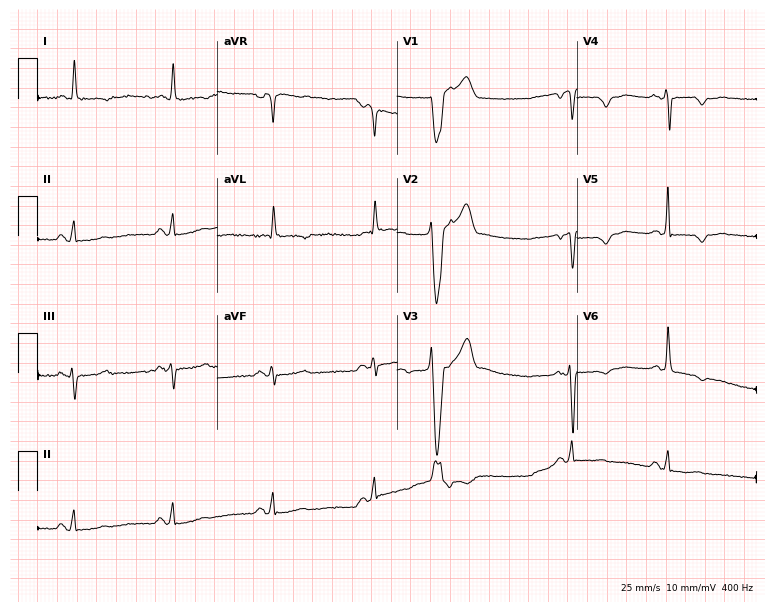
Electrocardiogram, a 76-year-old female. Of the six screened findings (first-degree AV block, right bundle branch block (RBBB), left bundle branch block (LBBB), sinus bradycardia, atrial fibrillation (AF), sinus tachycardia), none is recorded.